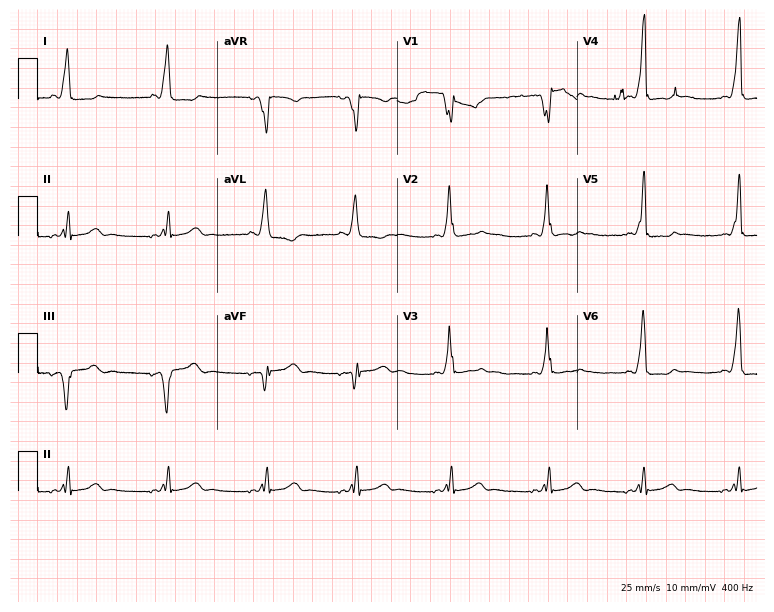
Resting 12-lead electrocardiogram. Patient: a 19-year-old female. None of these six findings is recorded: first-degree AV block, right bundle branch block, left bundle branch block, sinus bradycardia, atrial fibrillation, sinus tachycardia. Only these six findings were labelled.